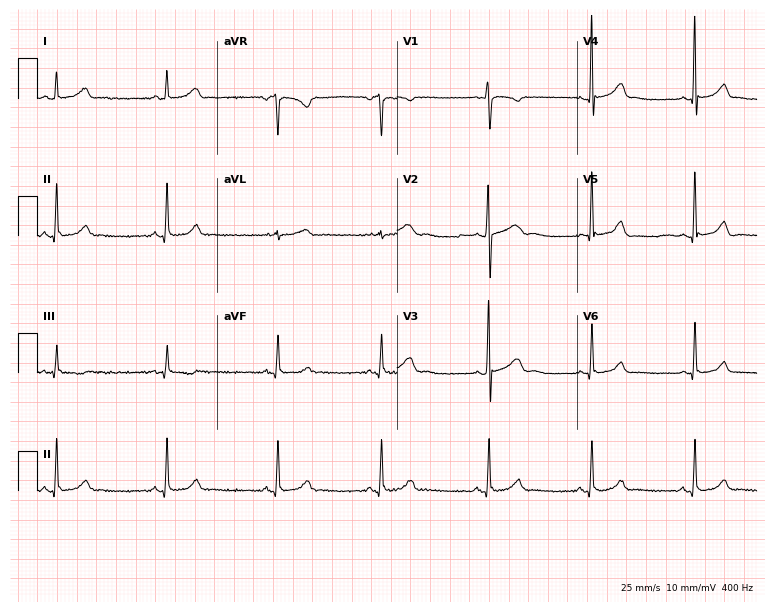
Standard 12-lead ECG recorded from a woman, 17 years old. Read as a normal ECG.